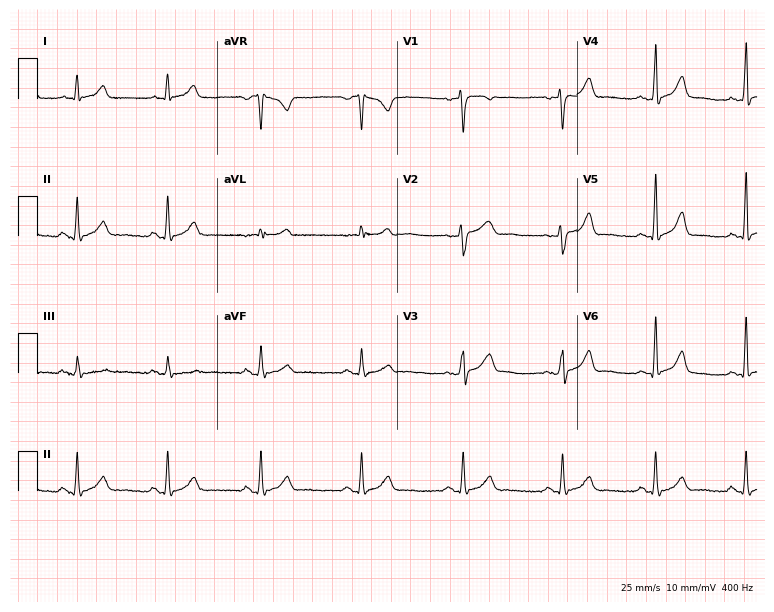
Standard 12-lead ECG recorded from a woman, 35 years old. Read as a normal ECG.